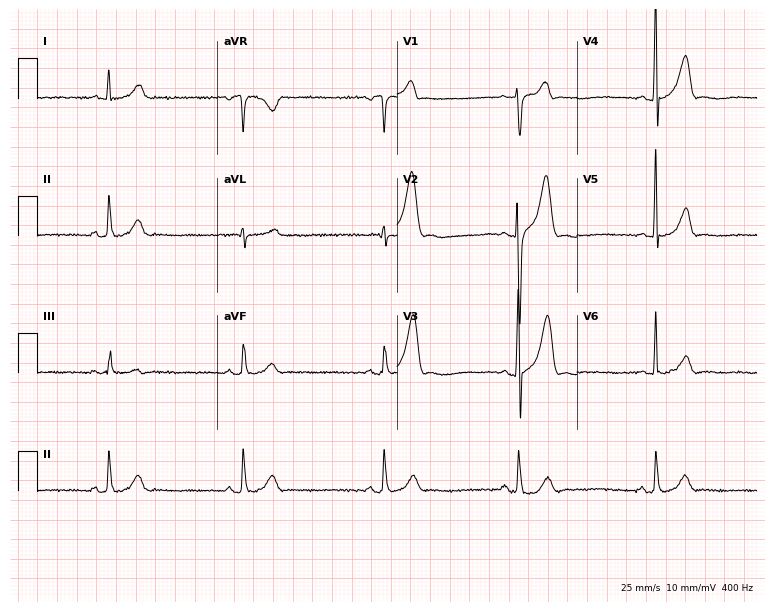
Standard 12-lead ECG recorded from a man, 49 years old (7.3-second recording at 400 Hz). The tracing shows sinus bradycardia (a sinus rate of 50 beats per minute or less).